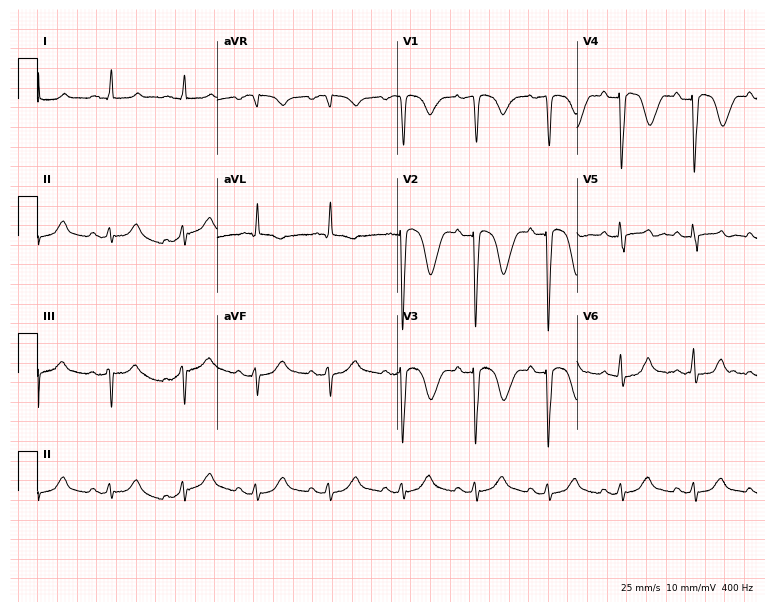
Electrocardiogram (7.3-second recording at 400 Hz), an 82-year-old male. Of the six screened findings (first-degree AV block, right bundle branch block, left bundle branch block, sinus bradycardia, atrial fibrillation, sinus tachycardia), none is recorded. Other findings, if any, are not listed.